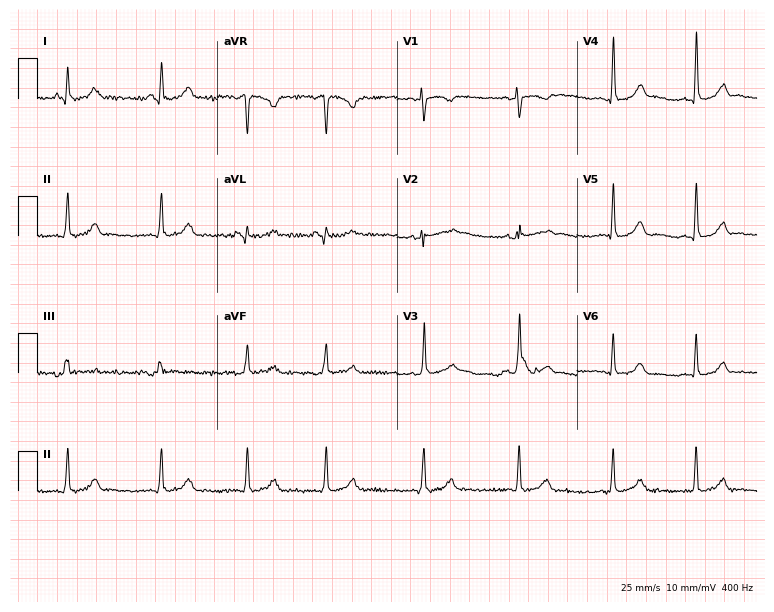
Standard 12-lead ECG recorded from a female, 29 years old (7.3-second recording at 400 Hz). None of these six findings is recorded: first-degree AV block, right bundle branch block, left bundle branch block, sinus bradycardia, atrial fibrillation, sinus tachycardia.